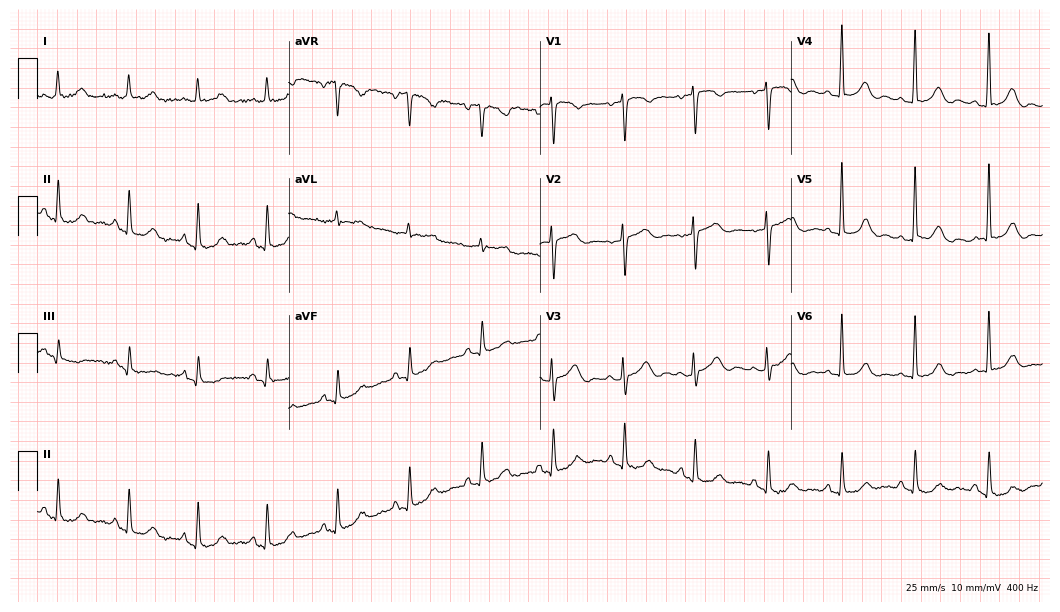
12-lead ECG from a 74-year-old woman. Recorded interpretation: within normal limits.